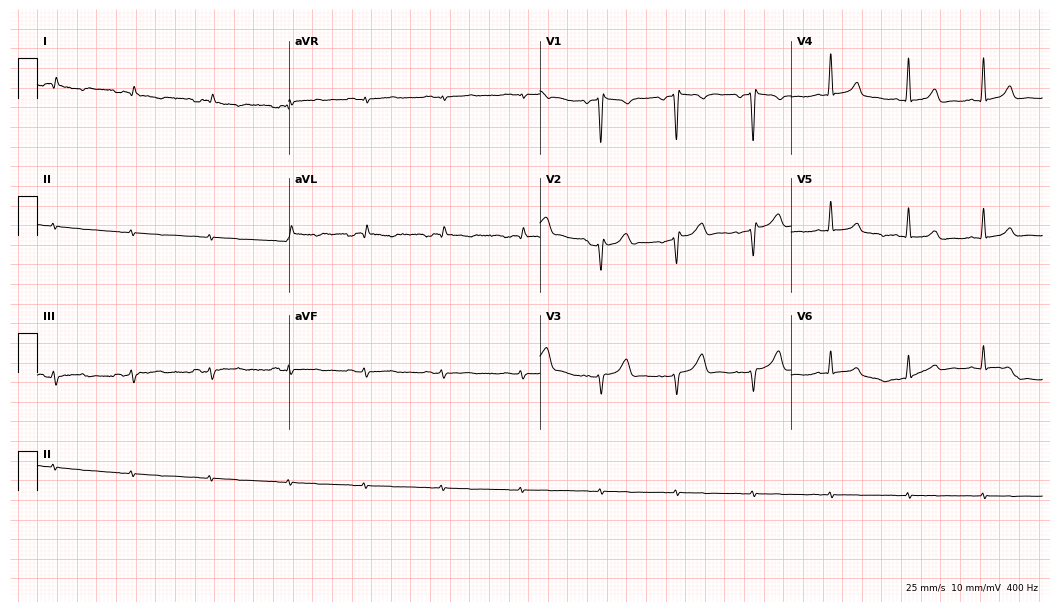
Standard 12-lead ECG recorded from a female patient, 50 years old. None of these six findings is recorded: first-degree AV block, right bundle branch block, left bundle branch block, sinus bradycardia, atrial fibrillation, sinus tachycardia.